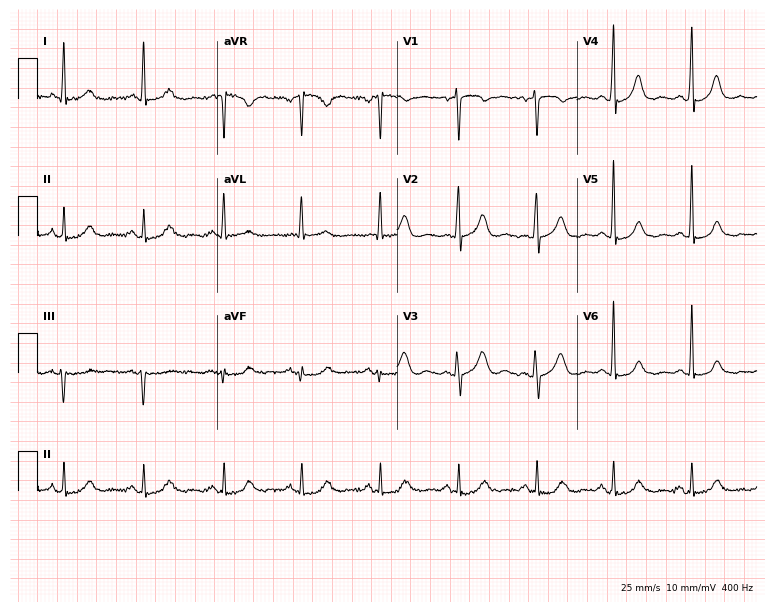
12-lead ECG from a woman, 64 years old. No first-degree AV block, right bundle branch block, left bundle branch block, sinus bradycardia, atrial fibrillation or sinus tachycardia recorded for this tracing.